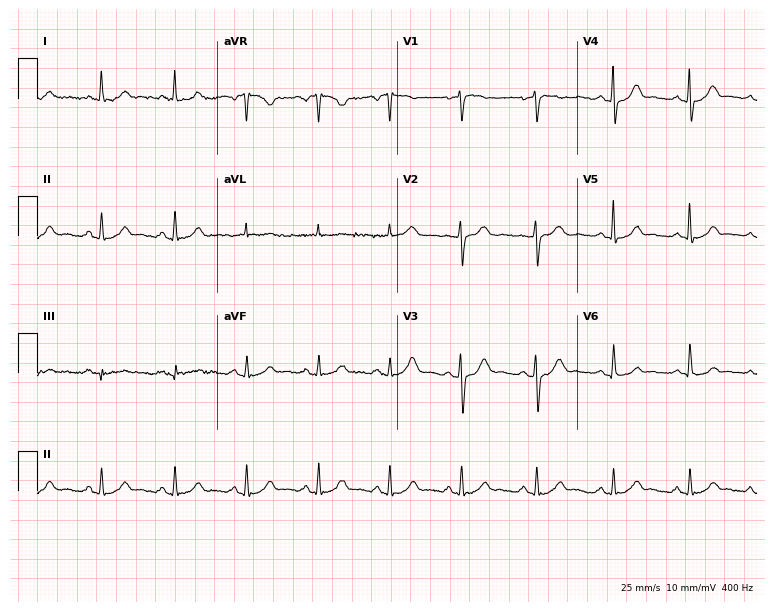
Standard 12-lead ECG recorded from a woman, 62 years old. Read as a normal ECG.